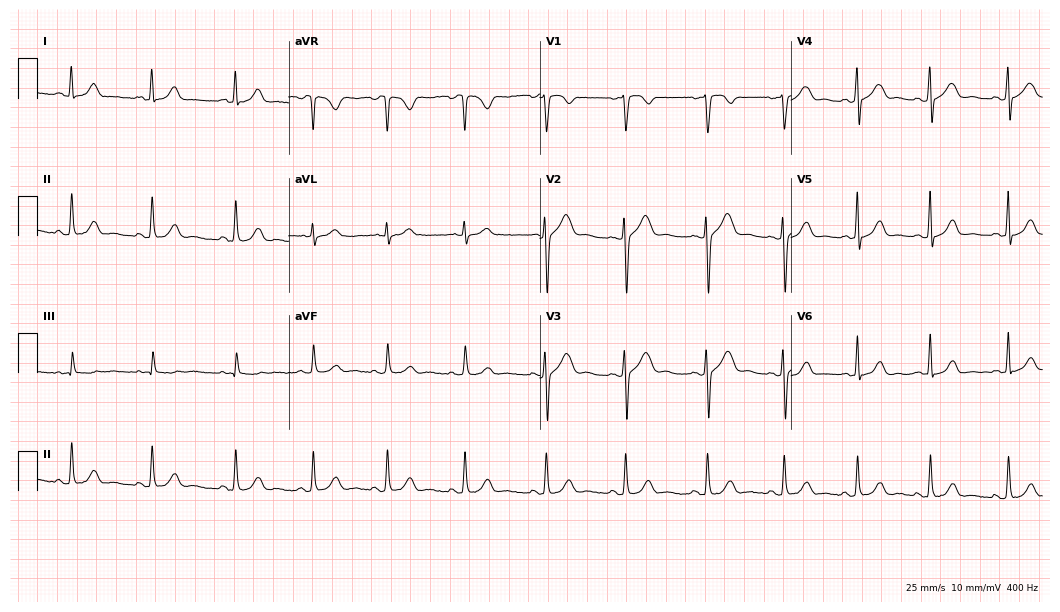
Resting 12-lead electrocardiogram. Patient: a 28-year-old female. Read as a normal ECG.